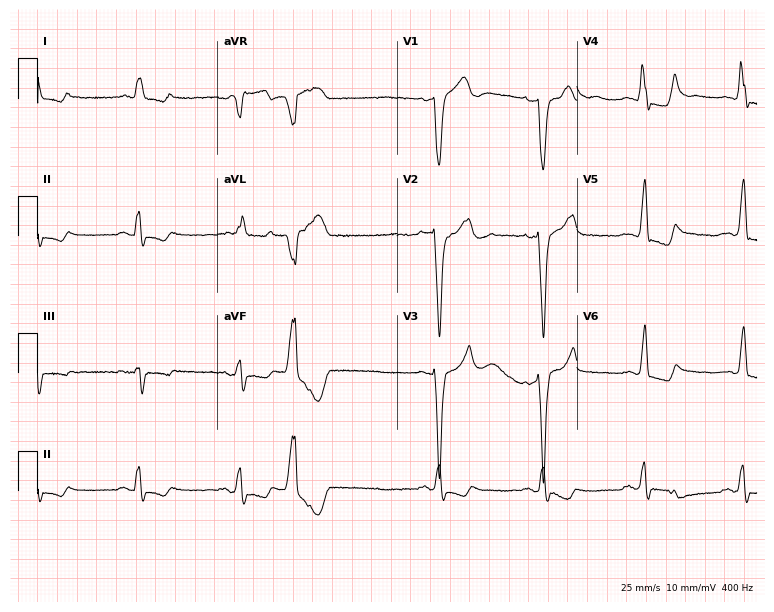
ECG (7.3-second recording at 400 Hz) — a woman, 81 years old. Screened for six findings — first-degree AV block, right bundle branch block, left bundle branch block, sinus bradycardia, atrial fibrillation, sinus tachycardia — none is recorded. Other findings, if any, are not listed.